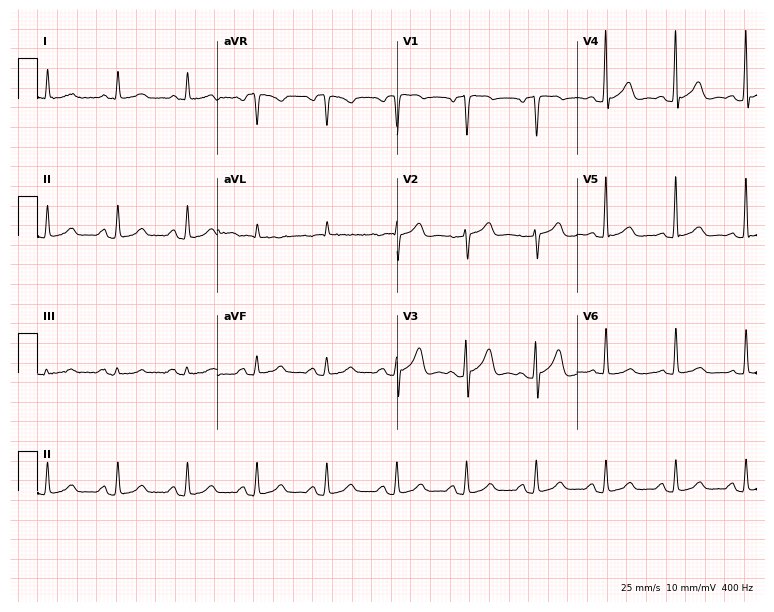
Resting 12-lead electrocardiogram (7.3-second recording at 400 Hz). Patient: a 77-year-old male. None of these six findings is recorded: first-degree AV block, right bundle branch block, left bundle branch block, sinus bradycardia, atrial fibrillation, sinus tachycardia.